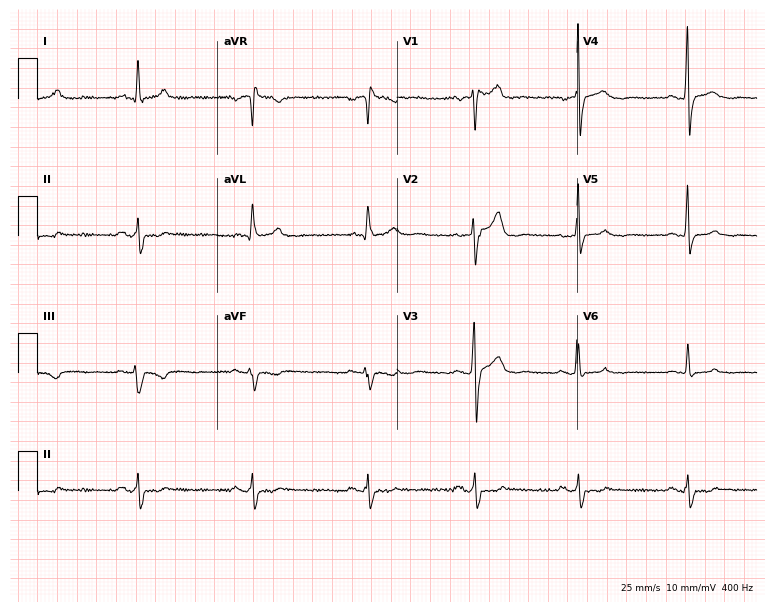
ECG (7.3-second recording at 400 Hz) — a male, 41 years old. Screened for six findings — first-degree AV block, right bundle branch block, left bundle branch block, sinus bradycardia, atrial fibrillation, sinus tachycardia — none is recorded. Only these six findings were labelled.